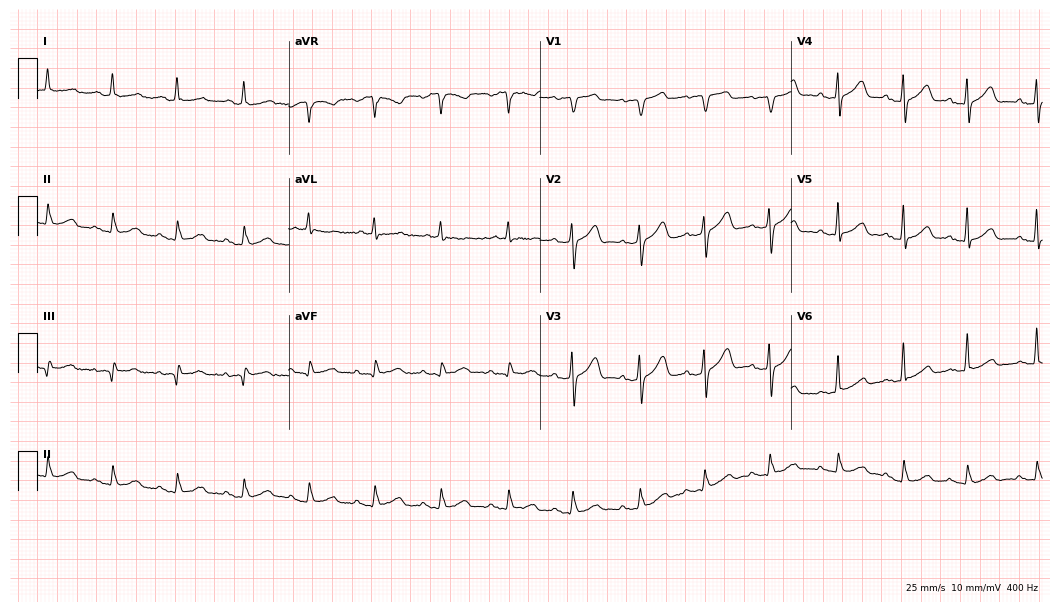
Electrocardiogram (10.2-second recording at 400 Hz), a 69-year-old female patient. Overall reading on record: normal ECG.